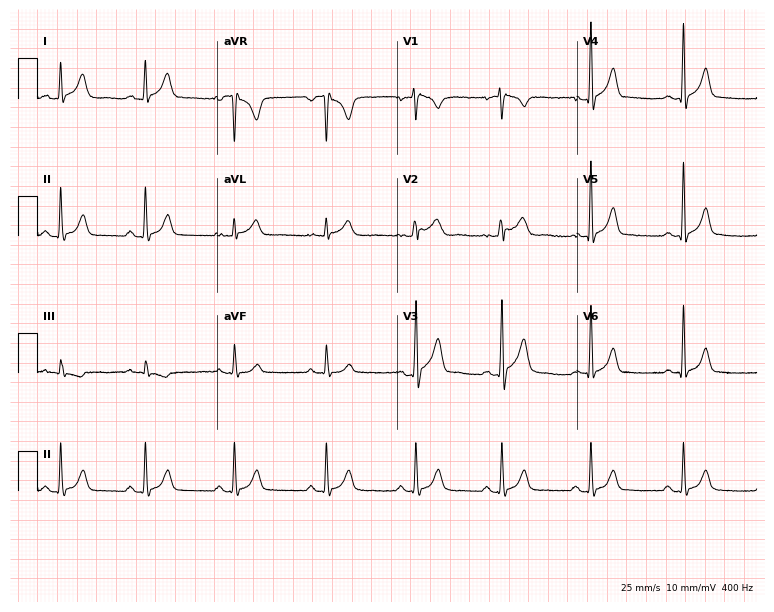
12-lead ECG from a man, 26 years old. Recorded interpretation: within normal limits.